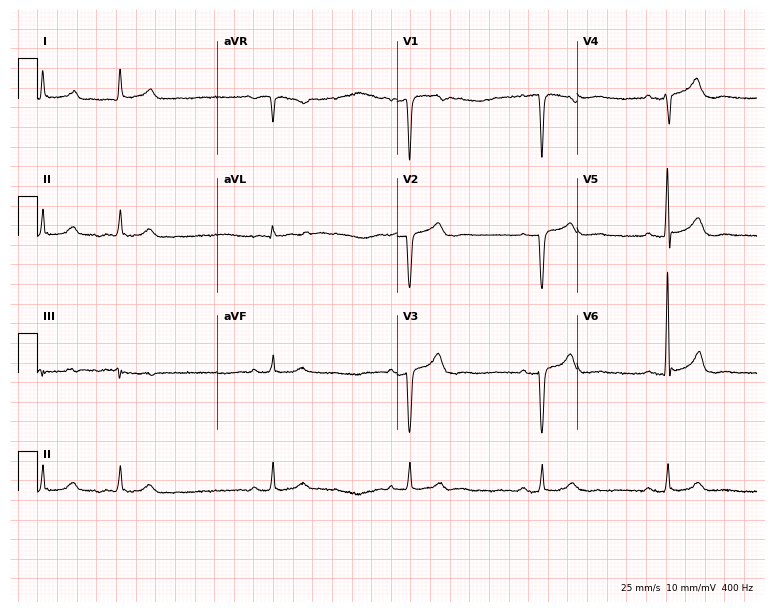
12-lead ECG (7.3-second recording at 400 Hz) from a male, 55 years old. Findings include sinus bradycardia (a sinus rate of 50 beats per minute or less).